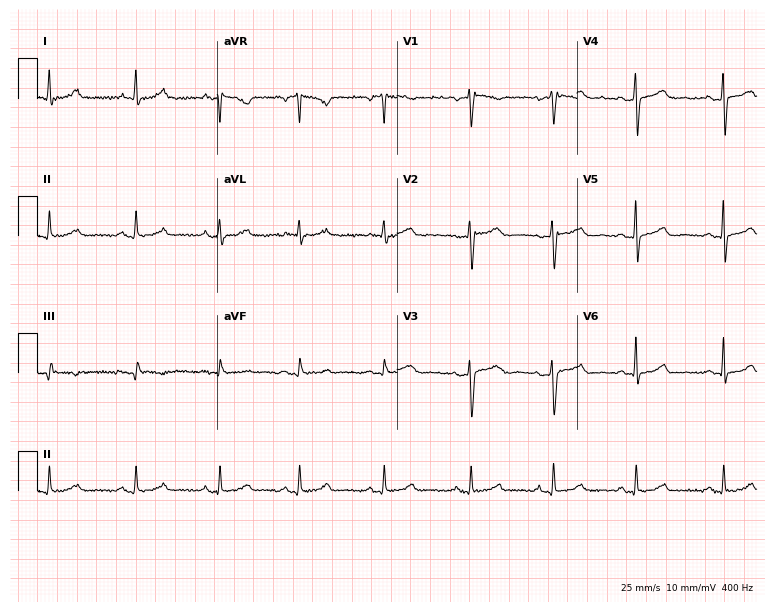
12-lead ECG from a 40-year-old female. Labelled as a normal ECG.